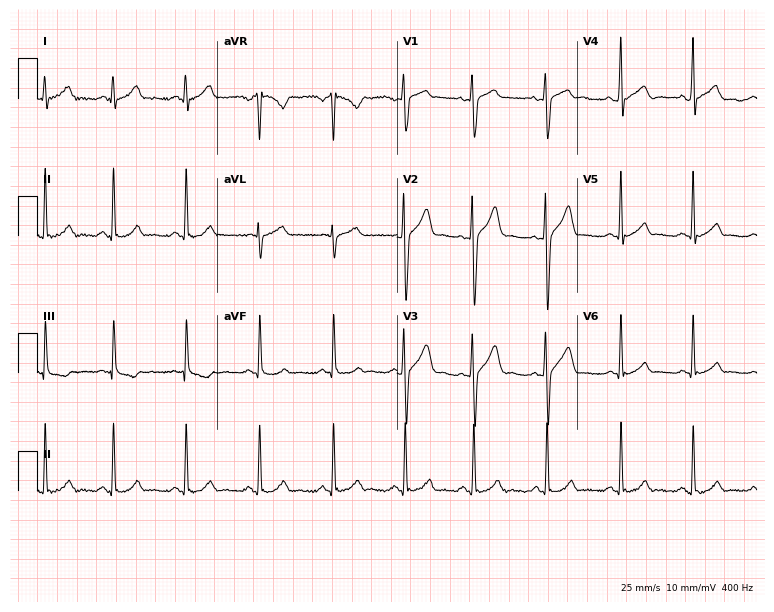
12-lead ECG from a 24-year-old male patient (7.3-second recording at 400 Hz). Recorded interpretation: within normal limits.